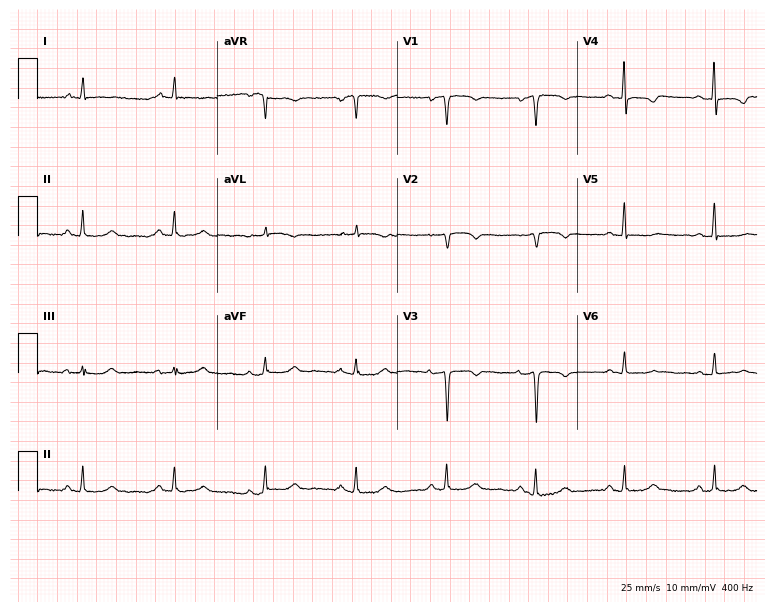
ECG (7.3-second recording at 400 Hz) — a 67-year-old female. Screened for six findings — first-degree AV block, right bundle branch block (RBBB), left bundle branch block (LBBB), sinus bradycardia, atrial fibrillation (AF), sinus tachycardia — none is recorded. Other findings, if any, are not listed.